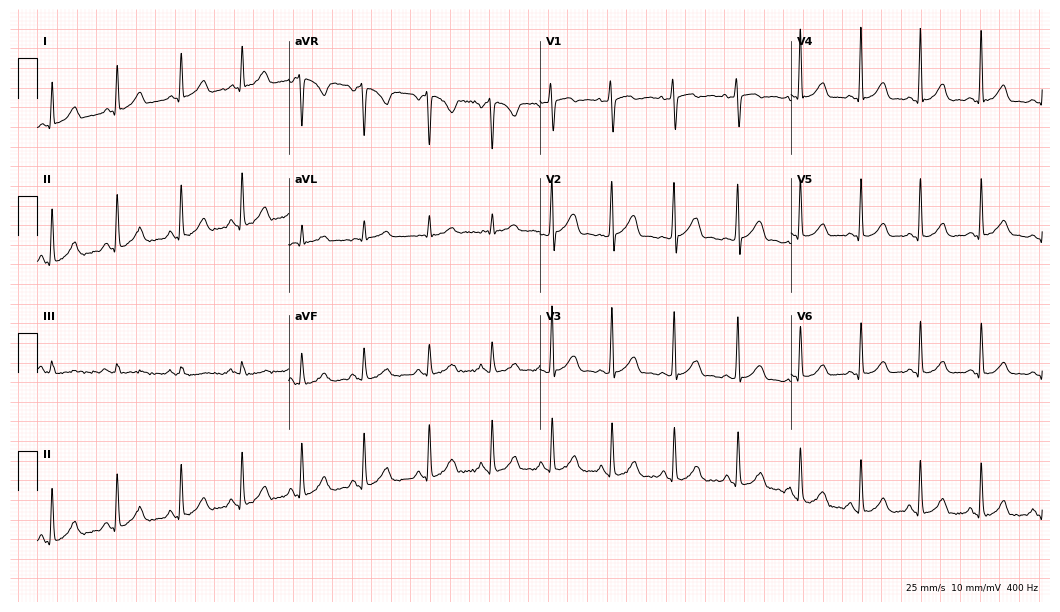
Electrocardiogram (10.2-second recording at 400 Hz), a woman, 29 years old. Overall reading on record: normal ECG.